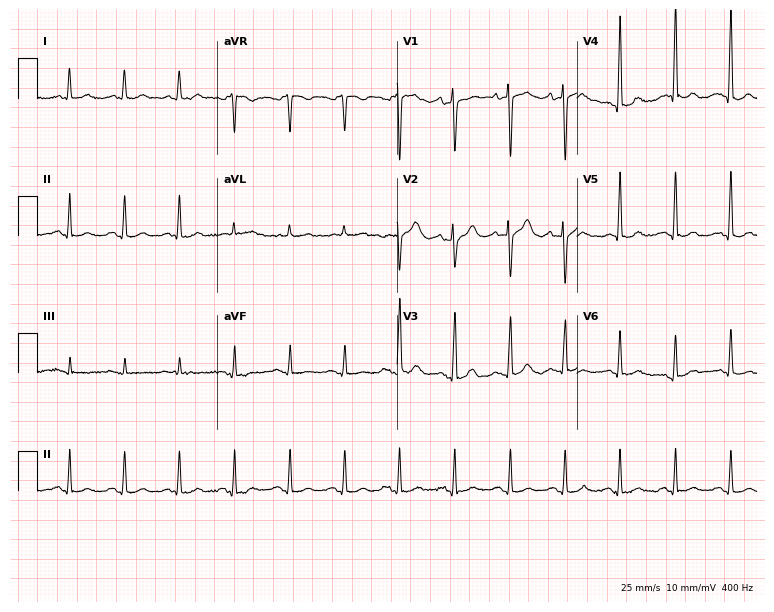
ECG — a 71-year-old woman. Findings include sinus tachycardia (a sinus rate of 100 beats per minute or more).